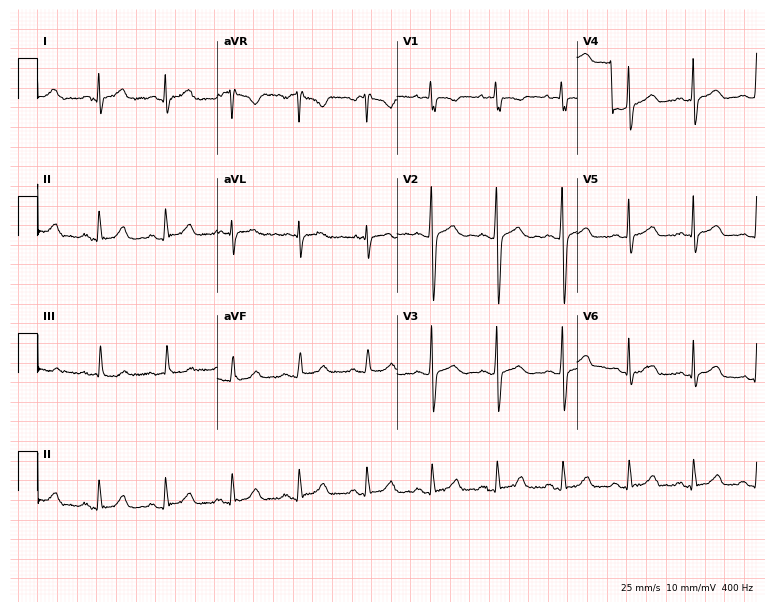
Standard 12-lead ECG recorded from a woman, 19 years old (7.3-second recording at 400 Hz). None of these six findings is recorded: first-degree AV block, right bundle branch block (RBBB), left bundle branch block (LBBB), sinus bradycardia, atrial fibrillation (AF), sinus tachycardia. Other findings, if any, are not listed.